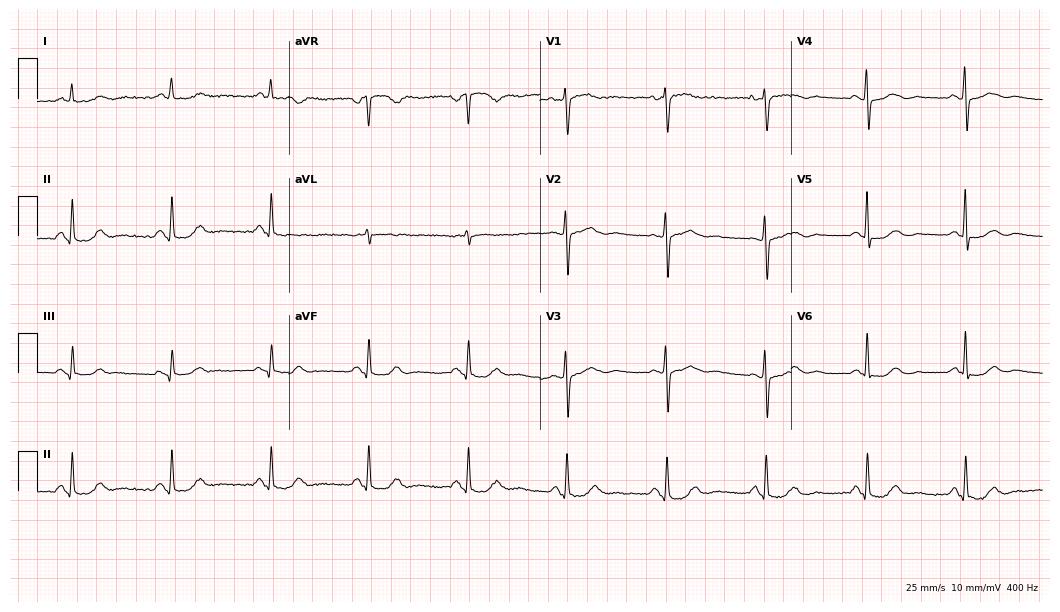
12-lead ECG (10.2-second recording at 400 Hz) from a female, 60 years old. Labelled as a normal ECG.